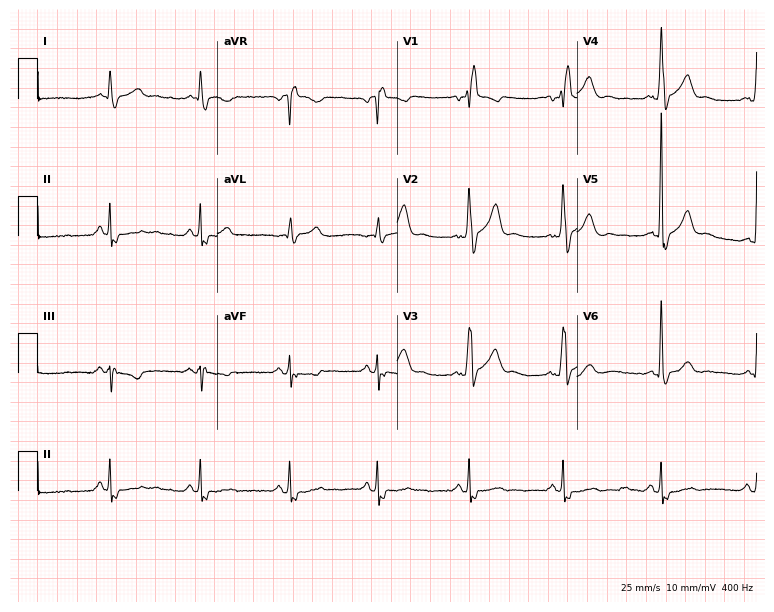
Standard 12-lead ECG recorded from a male, 65 years old (7.3-second recording at 400 Hz). The tracing shows right bundle branch block (RBBB).